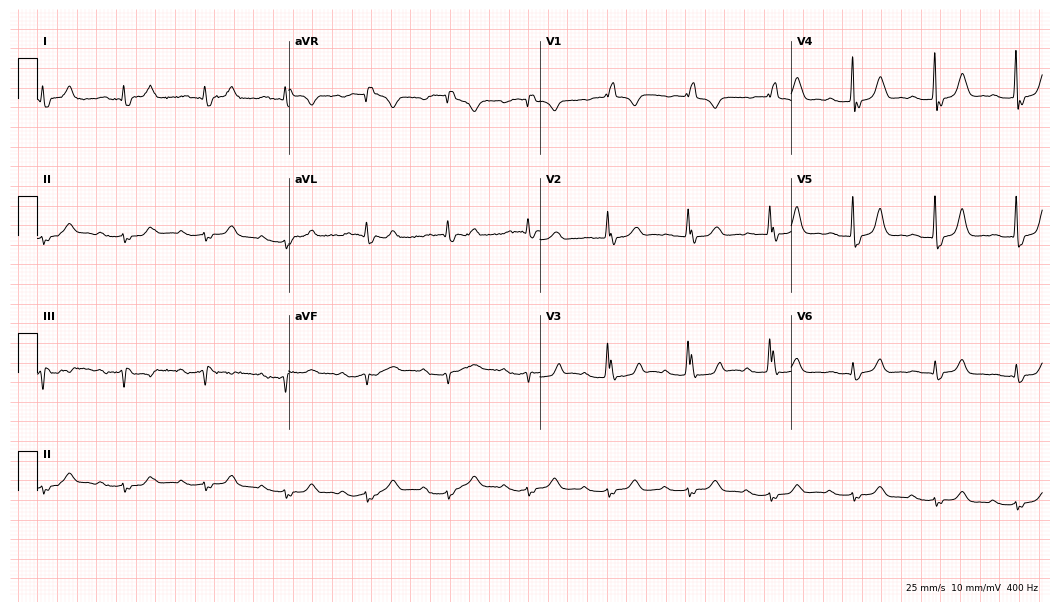
Standard 12-lead ECG recorded from an 84-year-old man. The tracing shows right bundle branch block (RBBB).